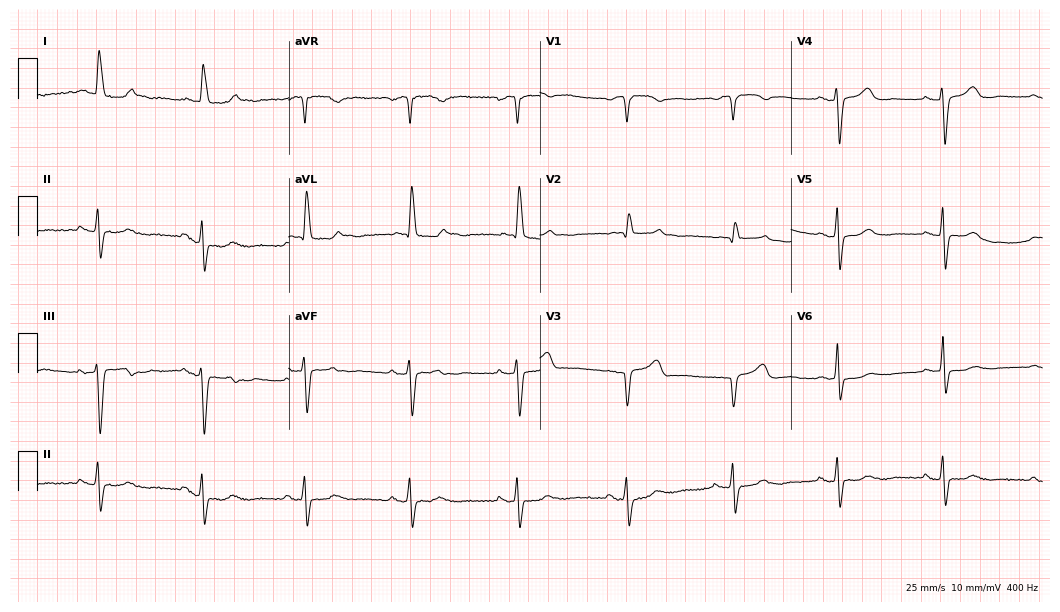
Standard 12-lead ECG recorded from an 84-year-old woman (10.2-second recording at 400 Hz). None of these six findings is recorded: first-degree AV block, right bundle branch block, left bundle branch block, sinus bradycardia, atrial fibrillation, sinus tachycardia. Findings outside these six are not listed.